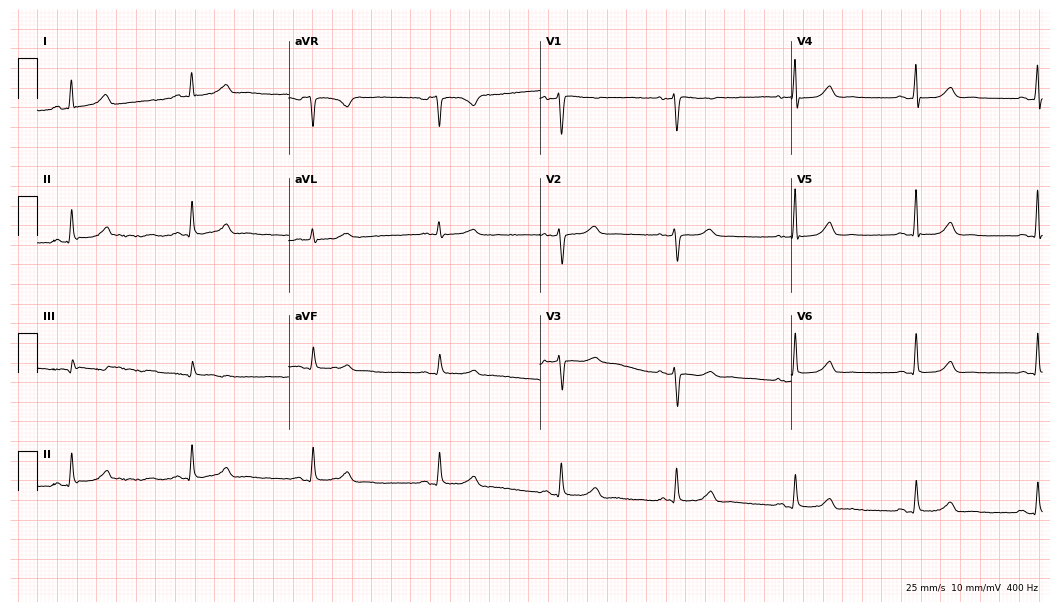
Resting 12-lead electrocardiogram (10.2-second recording at 400 Hz). Patient: a 56-year-old female. The tracing shows sinus bradycardia (a sinus rate of 50 beats per minute or less).